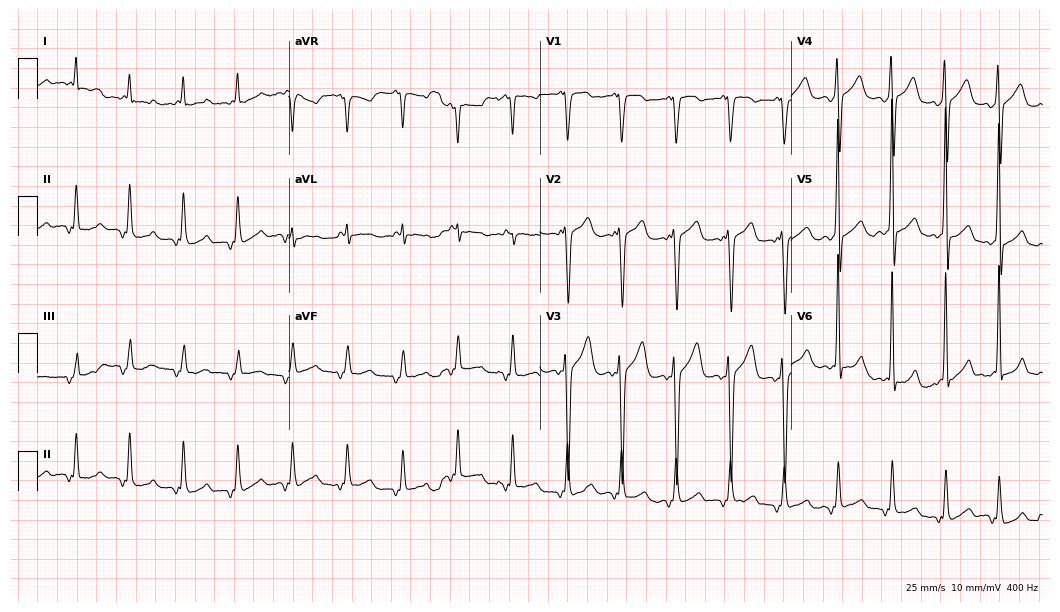
Standard 12-lead ECG recorded from an 84-year-old man. None of these six findings is recorded: first-degree AV block, right bundle branch block, left bundle branch block, sinus bradycardia, atrial fibrillation, sinus tachycardia.